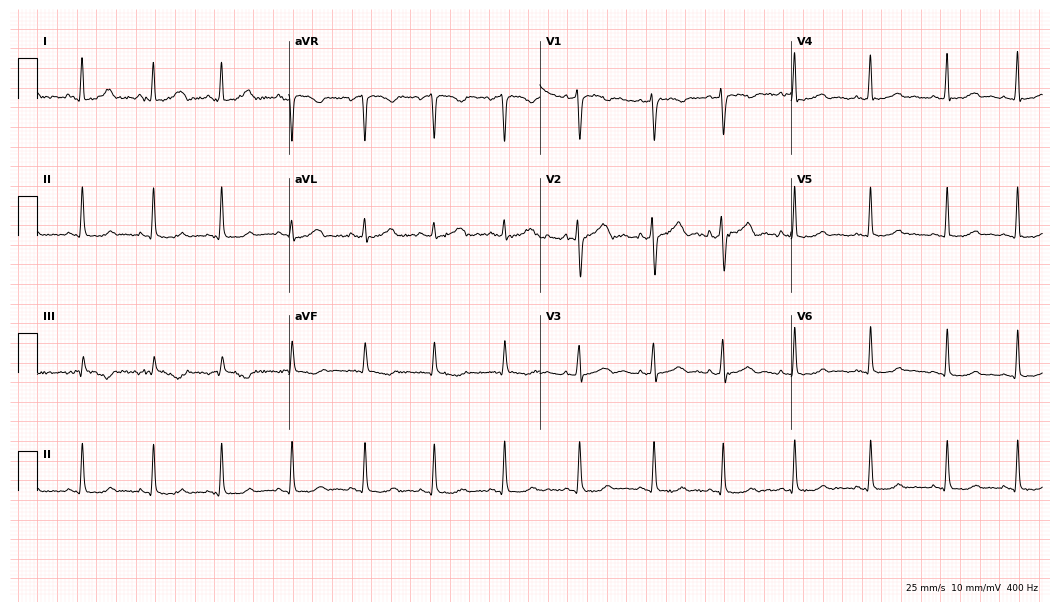
Standard 12-lead ECG recorded from a female, 26 years old. None of these six findings is recorded: first-degree AV block, right bundle branch block, left bundle branch block, sinus bradycardia, atrial fibrillation, sinus tachycardia. Only these six findings were labelled.